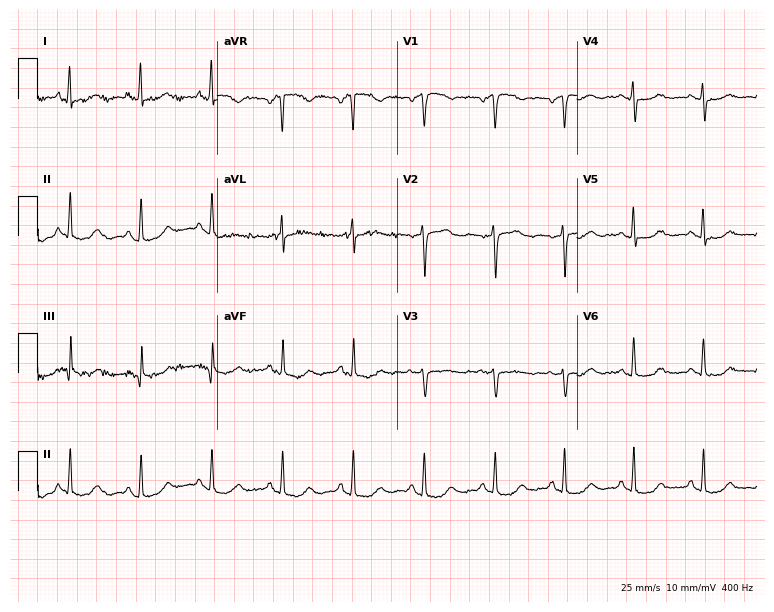
Electrocardiogram, a 38-year-old female patient. Overall reading on record: normal ECG.